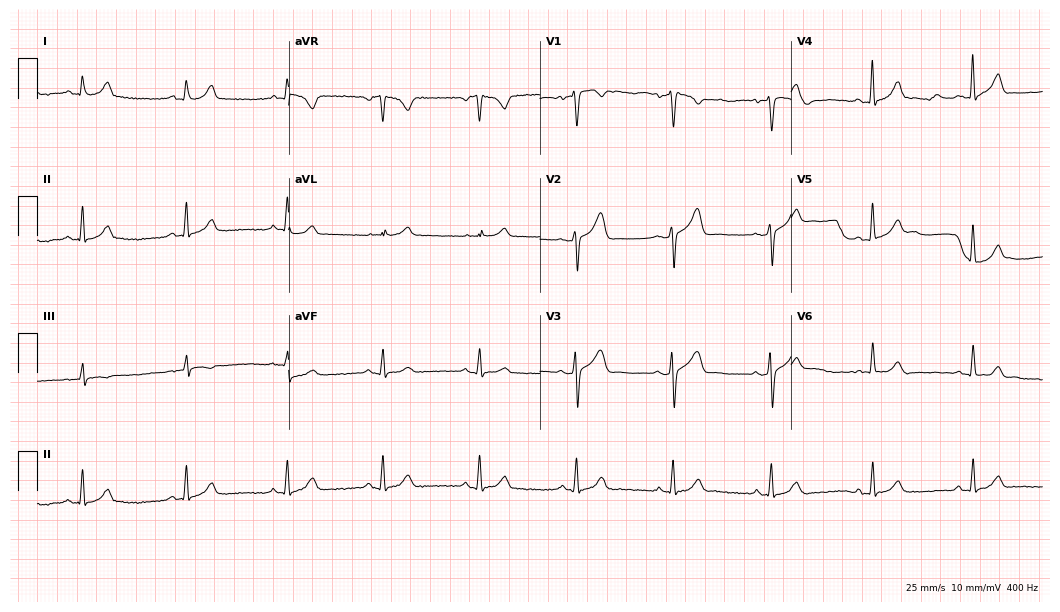
Electrocardiogram, a man, 40 years old. Overall reading on record: normal ECG.